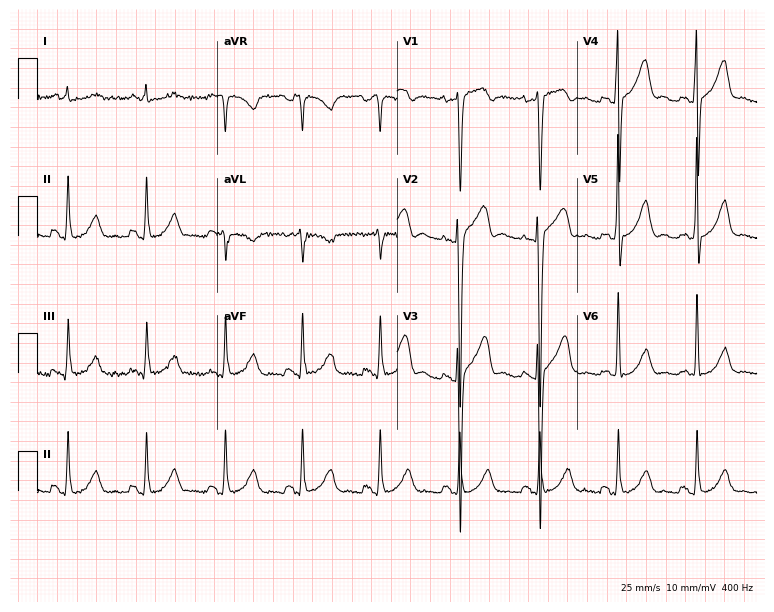
ECG — a 43-year-old man. Screened for six findings — first-degree AV block, right bundle branch block, left bundle branch block, sinus bradycardia, atrial fibrillation, sinus tachycardia — none is recorded. Findings outside these six are not listed.